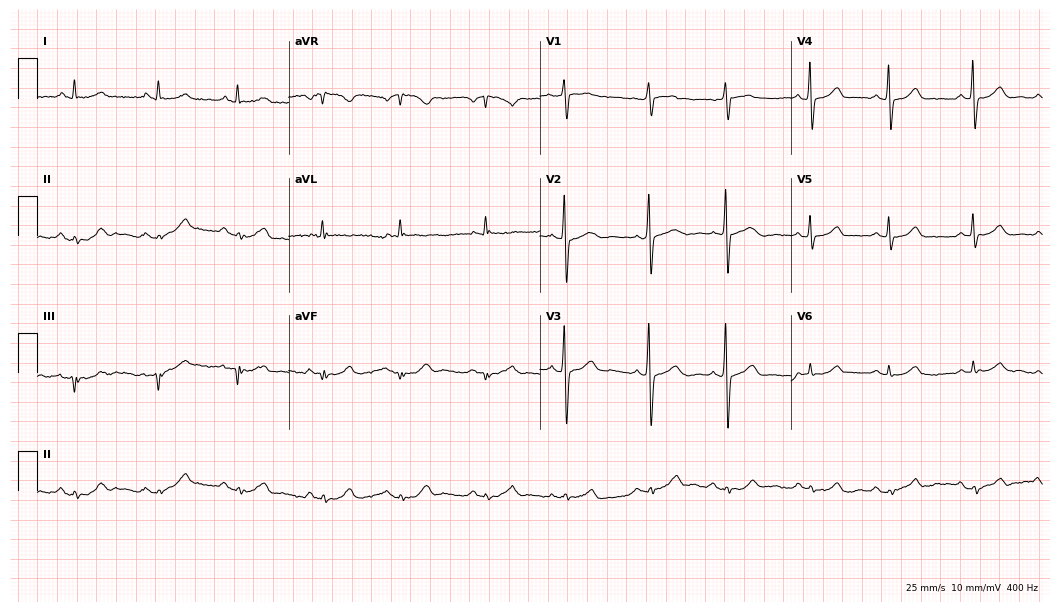
12-lead ECG from a female, 67 years old (10.2-second recording at 400 Hz). Recorded interpretation: within normal limits.